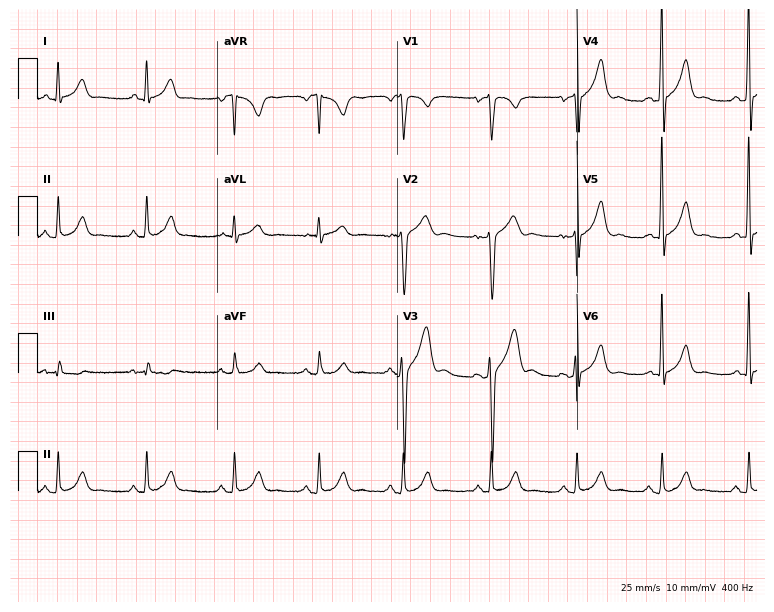
Electrocardiogram (7.3-second recording at 400 Hz), a 35-year-old male patient. Overall reading on record: normal ECG.